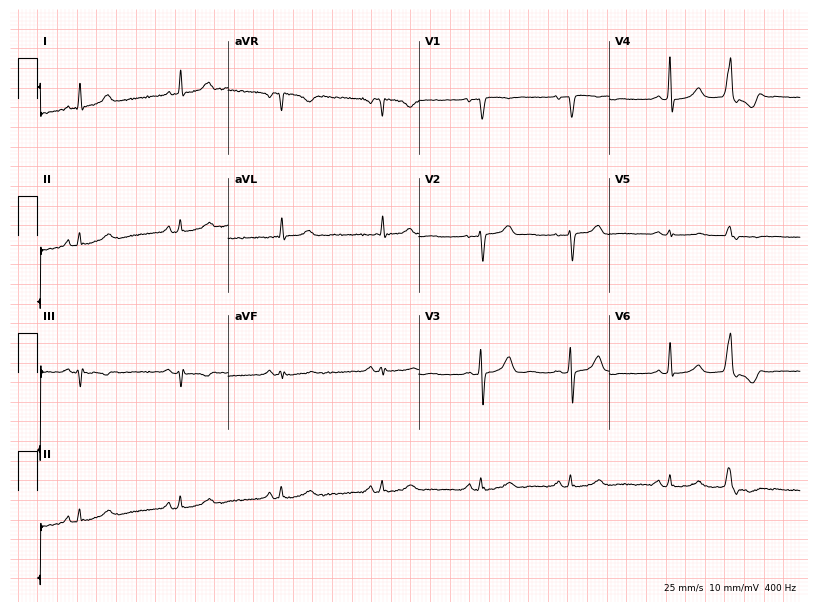
ECG — a 53-year-old woman. Screened for six findings — first-degree AV block, right bundle branch block (RBBB), left bundle branch block (LBBB), sinus bradycardia, atrial fibrillation (AF), sinus tachycardia — none is recorded. Findings outside these six are not listed.